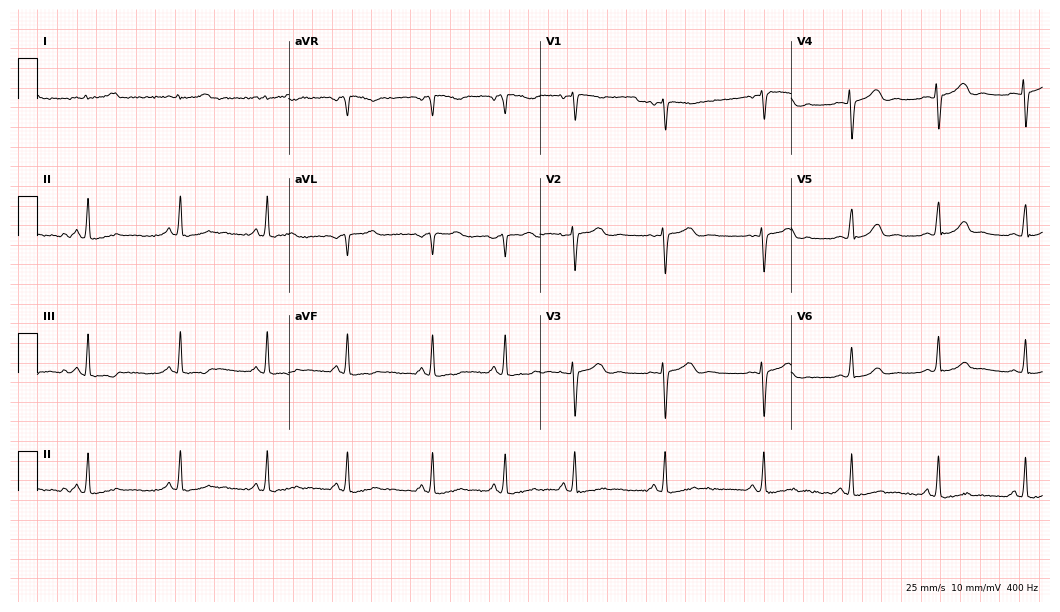
Resting 12-lead electrocardiogram (10.2-second recording at 400 Hz). Patient: a female, 18 years old. None of these six findings is recorded: first-degree AV block, right bundle branch block (RBBB), left bundle branch block (LBBB), sinus bradycardia, atrial fibrillation (AF), sinus tachycardia.